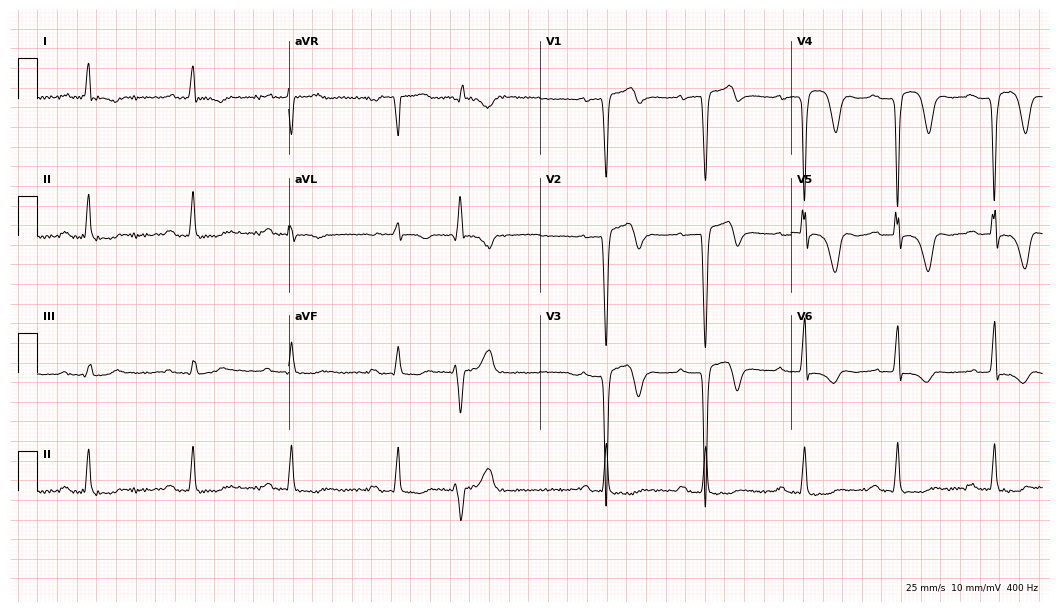
Standard 12-lead ECG recorded from a male patient, 74 years old. The tracing shows first-degree AV block.